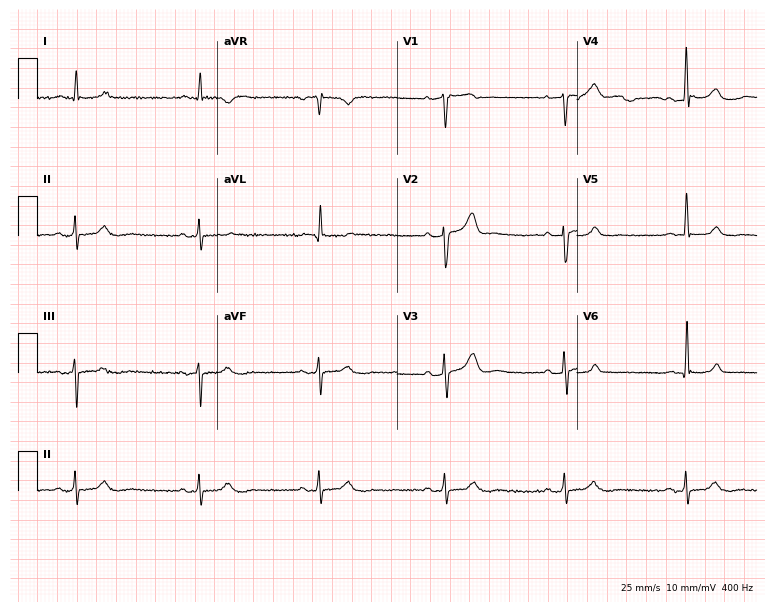
12-lead ECG (7.3-second recording at 400 Hz) from a male, 61 years old. Findings include sinus bradycardia (a sinus rate of 50 beats per minute or less).